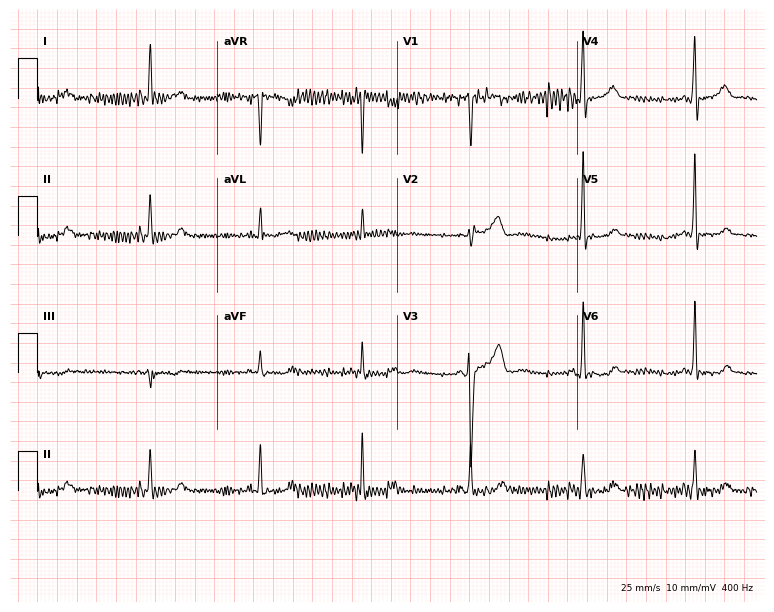
12-lead ECG from a 38-year-old male patient (7.3-second recording at 400 Hz). No first-degree AV block, right bundle branch block, left bundle branch block, sinus bradycardia, atrial fibrillation or sinus tachycardia recorded for this tracing.